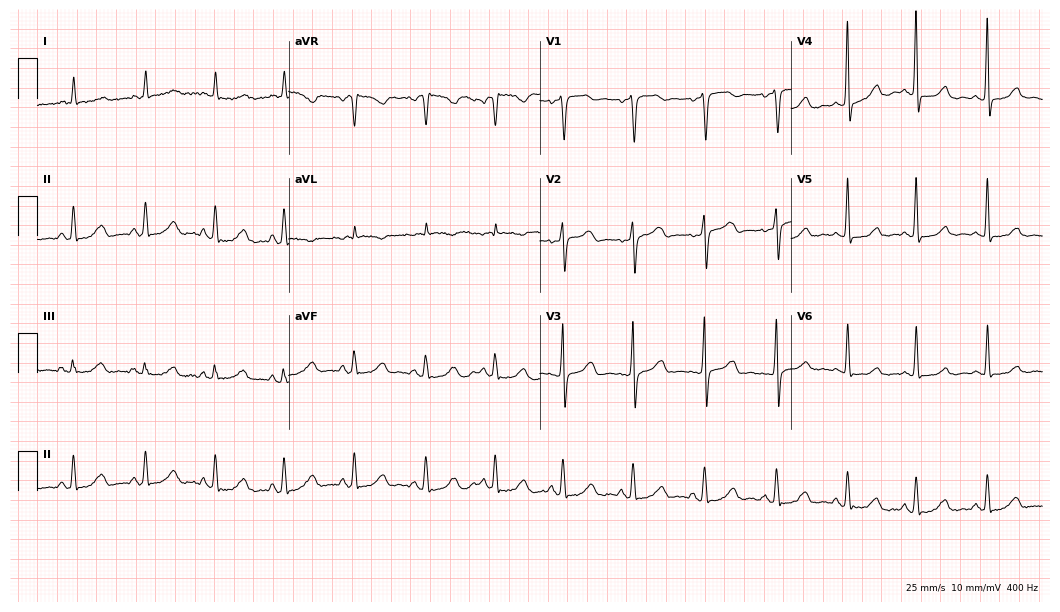
12-lead ECG from a 73-year-old female. Recorded interpretation: within normal limits.